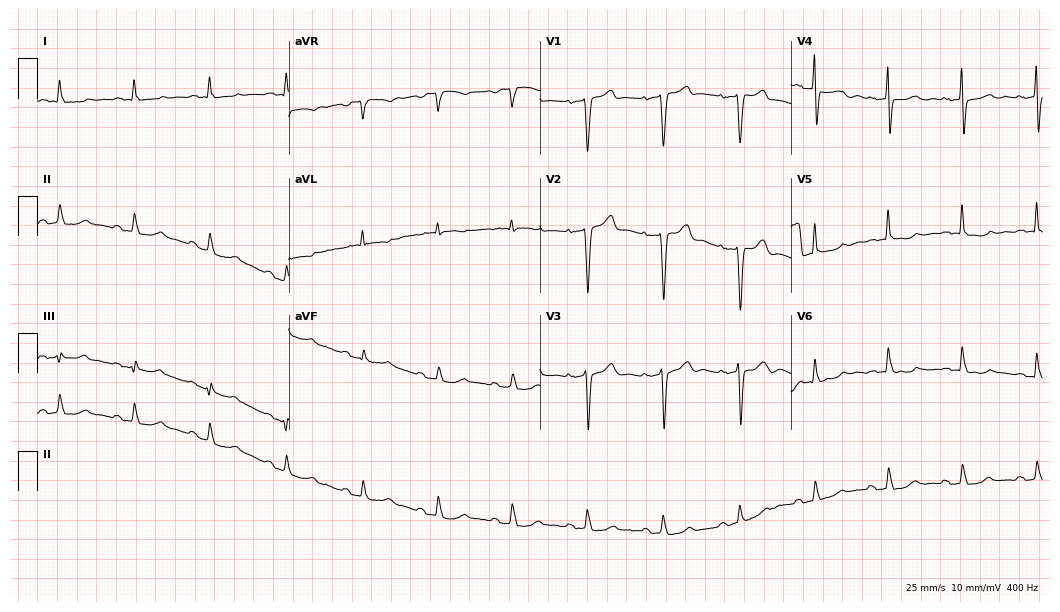
Standard 12-lead ECG recorded from a 67-year-old man (10.2-second recording at 400 Hz). Read as a normal ECG.